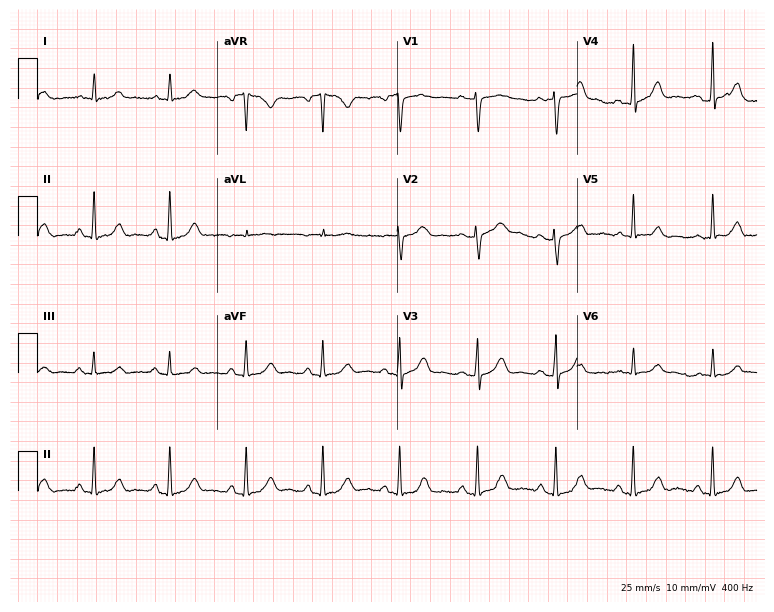
Electrocardiogram, a female, 34 years old. Of the six screened findings (first-degree AV block, right bundle branch block (RBBB), left bundle branch block (LBBB), sinus bradycardia, atrial fibrillation (AF), sinus tachycardia), none is recorded.